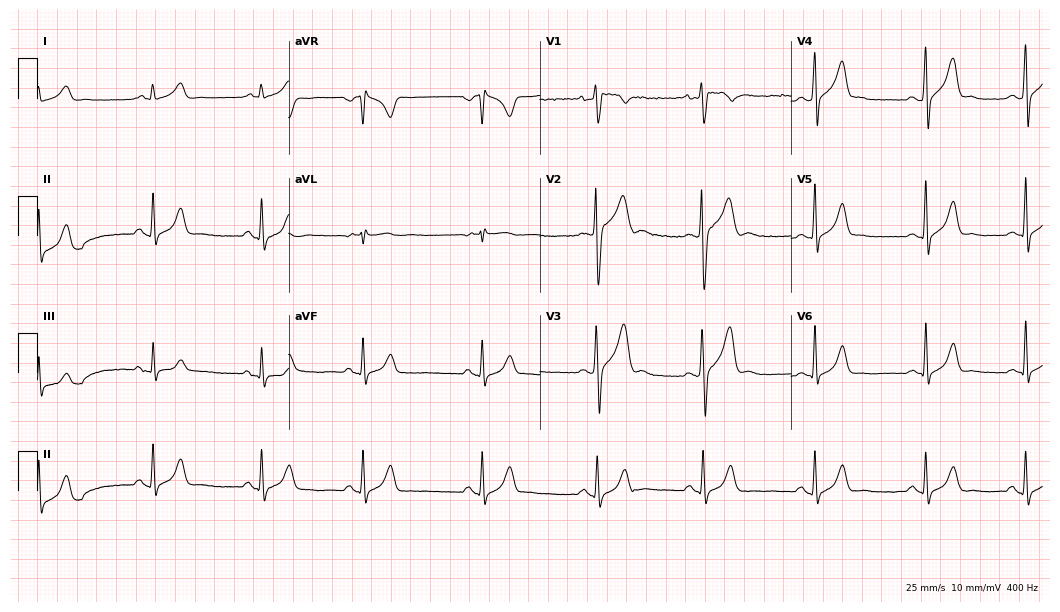
Standard 12-lead ECG recorded from a male patient, 30 years old. Read as a normal ECG.